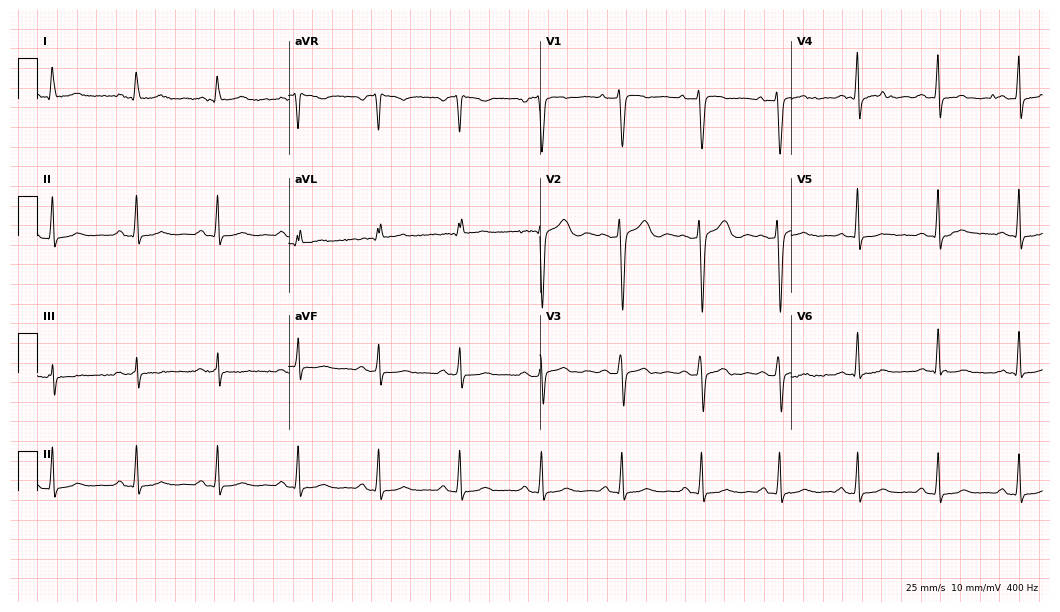
12-lead ECG from a 32-year-old female patient (10.2-second recording at 400 Hz). Recorded interpretation: within normal limits.